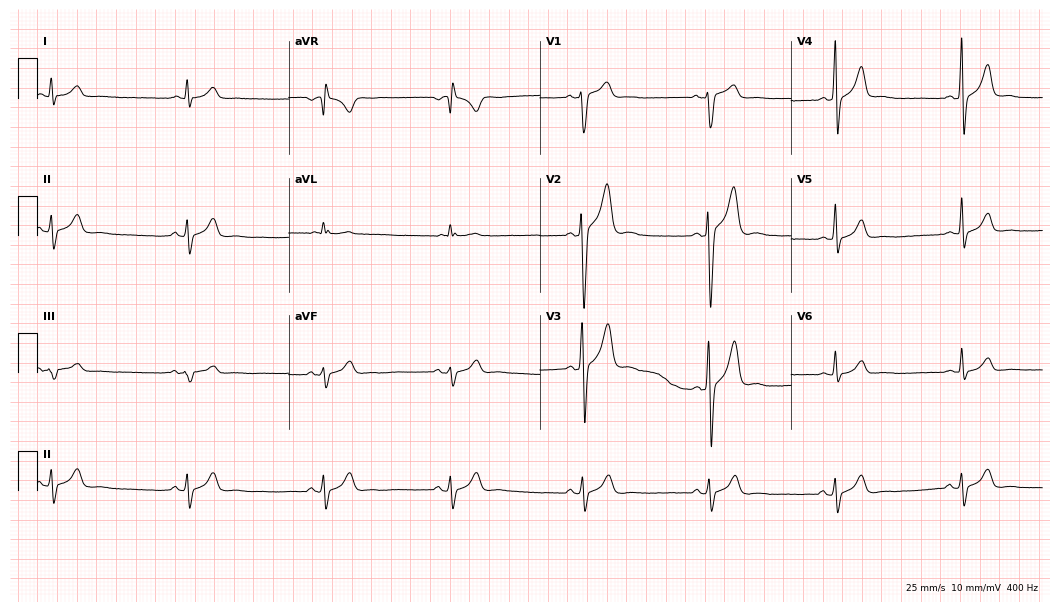
Electrocardiogram, a male patient, 21 years old. Of the six screened findings (first-degree AV block, right bundle branch block, left bundle branch block, sinus bradycardia, atrial fibrillation, sinus tachycardia), none is recorded.